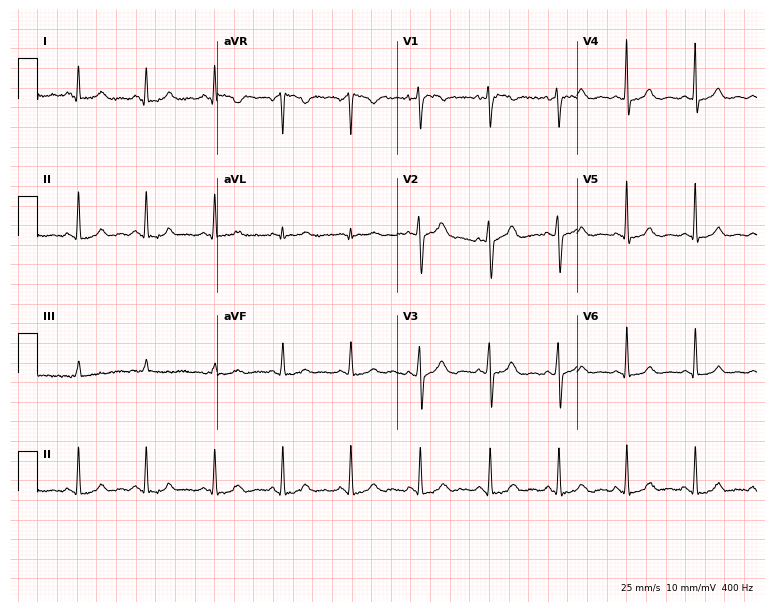
Standard 12-lead ECG recorded from a 47-year-old female patient. None of these six findings is recorded: first-degree AV block, right bundle branch block (RBBB), left bundle branch block (LBBB), sinus bradycardia, atrial fibrillation (AF), sinus tachycardia. Other findings, if any, are not listed.